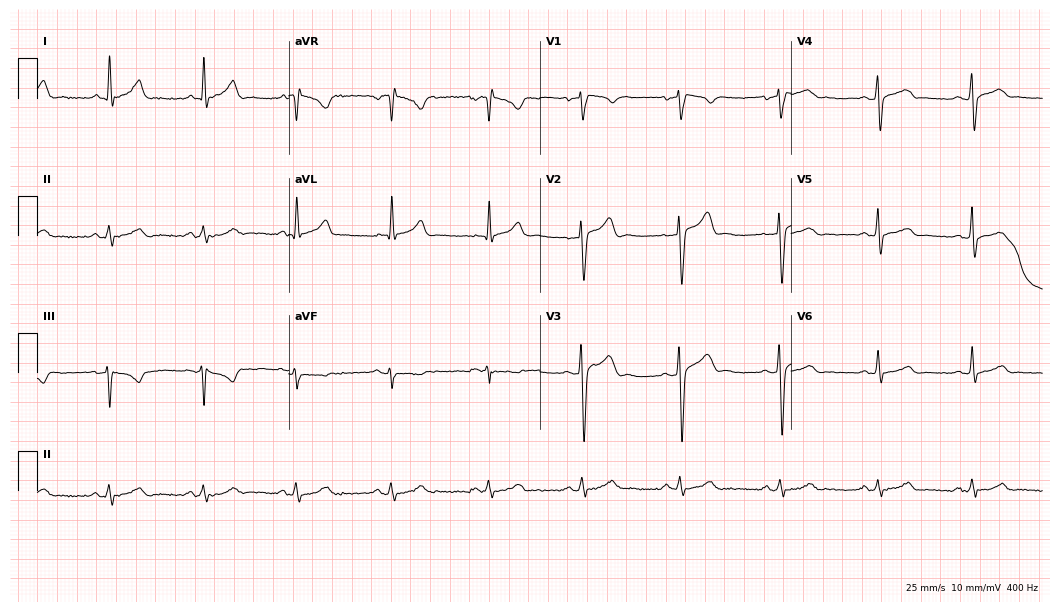
Resting 12-lead electrocardiogram (10.2-second recording at 400 Hz). Patient: a 33-year-old man. Read as a normal ECG.